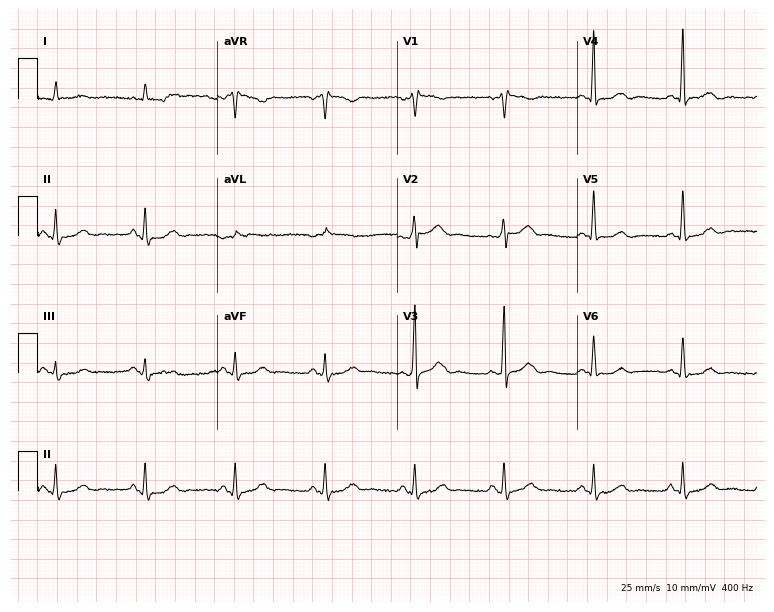
Electrocardiogram (7.3-second recording at 400 Hz), a 74-year-old male. Overall reading on record: normal ECG.